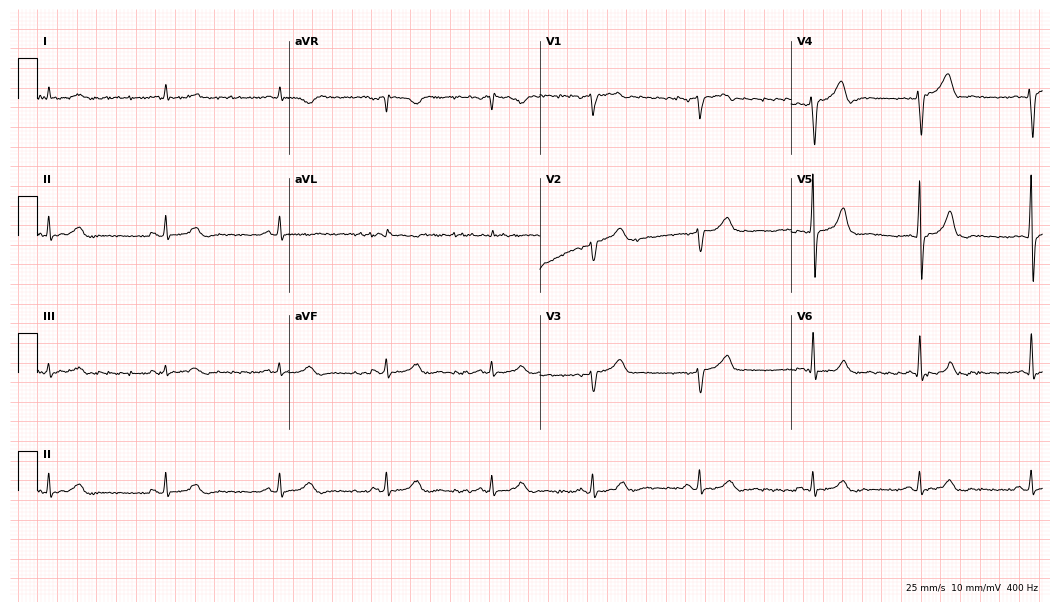
12-lead ECG from a 50-year-old male patient (10.2-second recording at 400 Hz). Recorded interpretation: within normal limits.